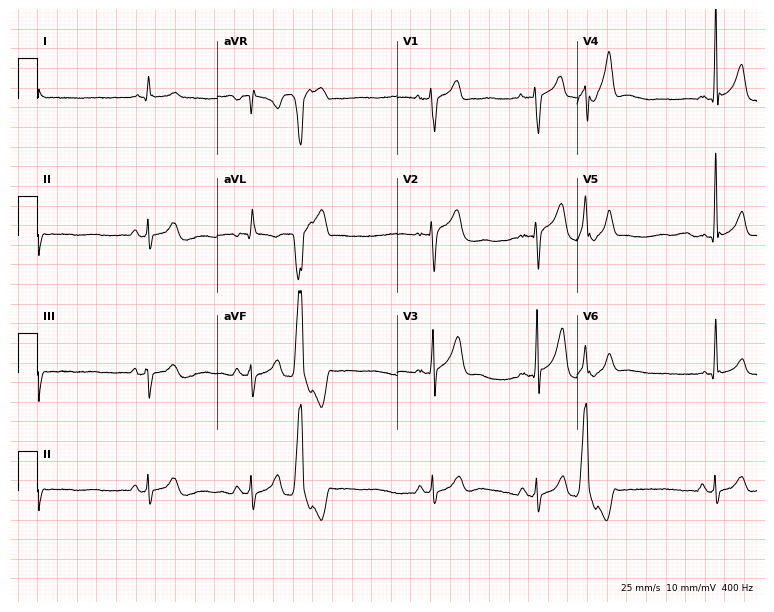
Electrocardiogram (7.3-second recording at 400 Hz), a 34-year-old man. Of the six screened findings (first-degree AV block, right bundle branch block, left bundle branch block, sinus bradycardia, atrial fibrillation, sinus tachycardia), none is recorded.